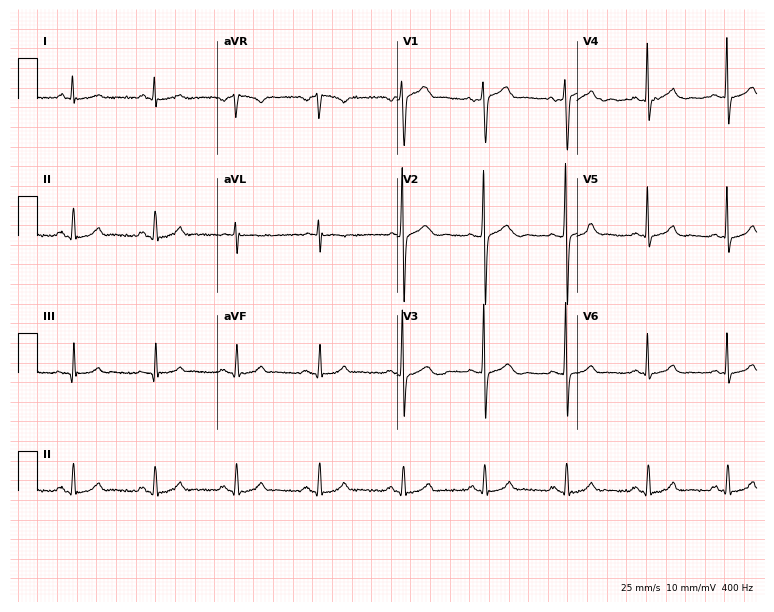
Resting 12-lead electrocardiogram (7.3-second recording at 400 Hz). Patient: a man, 48 years old. None of these six findings is recorded: first-degree AV block, right bundle branch block, left bundle branch block, sinus bradycardia, atrial fibrillation, sinus tachycardia.